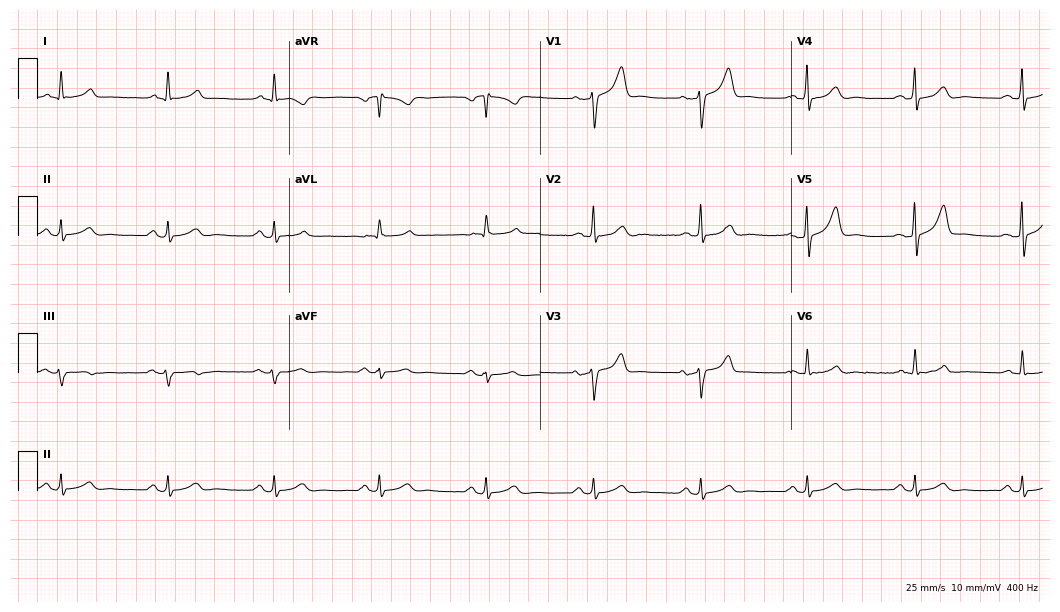
ECG — a 61-year-old man. Screened for six findings — first-degree AV block, right bundle branch block, left bundle branch block, sinus bradycardia, atrial fibrillation, sinus tachycardia — none is recorded. Only these six findings were labelled.